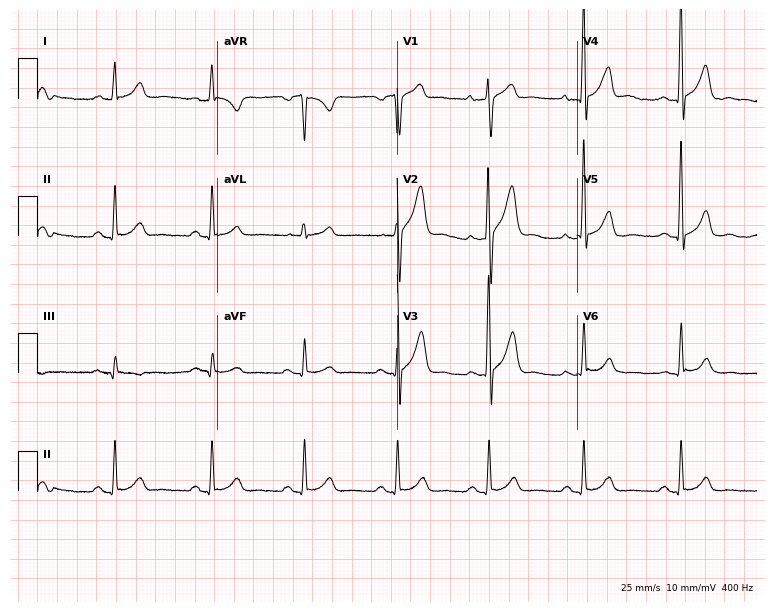
12-lead ECG from a 39-year-old man (7.3-second recording at 400 Hz). No first-degree AV block, right bundle branch block, left bundle branch block, sinus bradycardia, atrial fibrillation or sinus tachycardia recorded for this tracing. Findings outside these six are not listed.